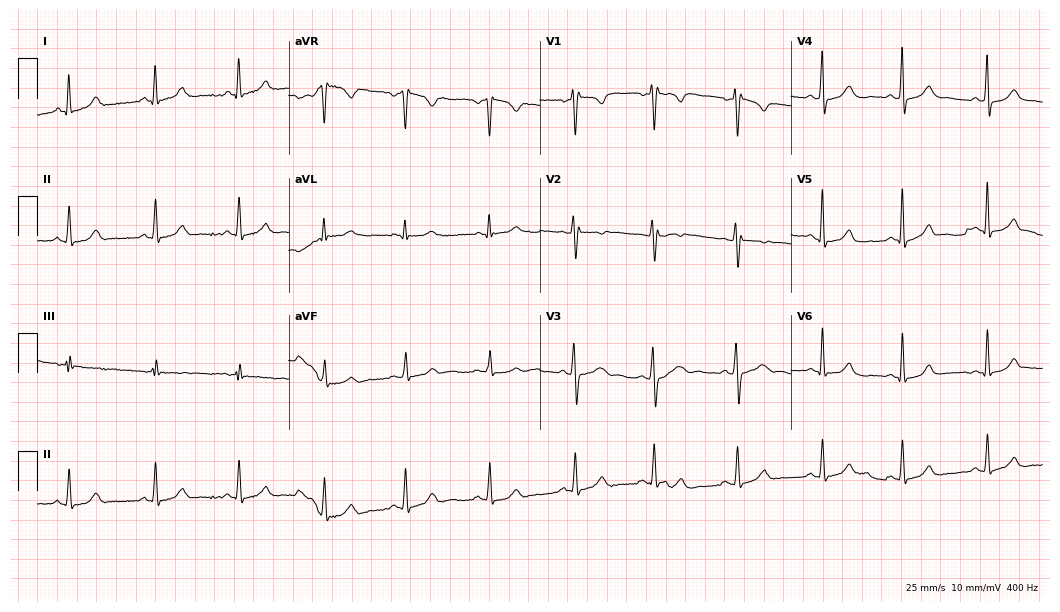
Resting 12-lead electrocardiogram. Patient: a female, 20 years old. None of these six findings is recorded: first-degree AV block, right bundle branch block, left bundle branch block, sinus bradycardia, atrial fibrillation, sinus tachycardia. Other findings, if any, are not listed.